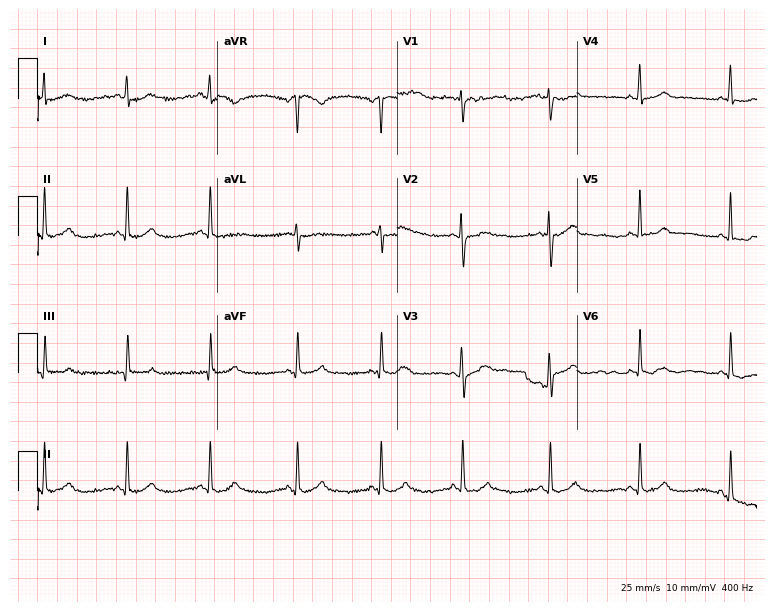
Electrocardiogram, a woman, 36 years old. Of the six screened findings (first-degree AV block, right bundle branch block, left bundle branch block, sinus bradycardia, atrial fibrillation, sinus tachycardia), none is recorded.